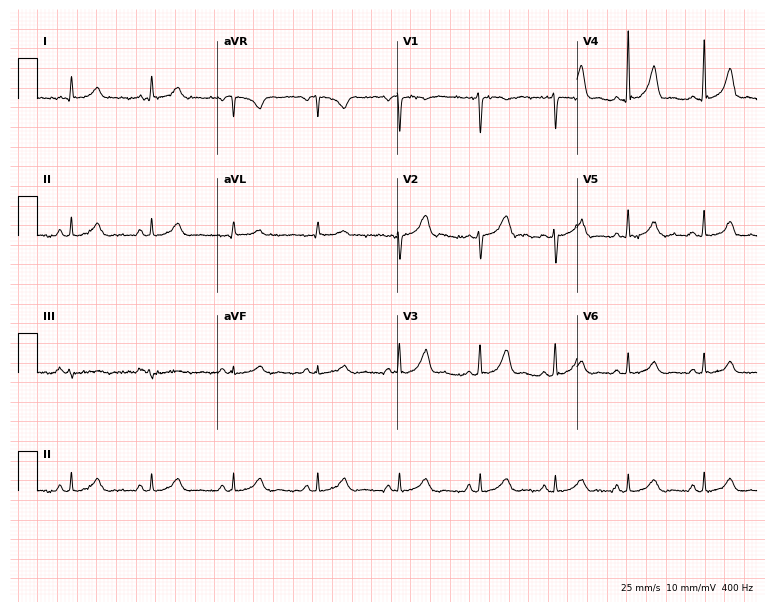
Electrocardiogram (7.3-second recording at 400 Hz), a female, 37 years old. Overall reading on record: normal ECG.